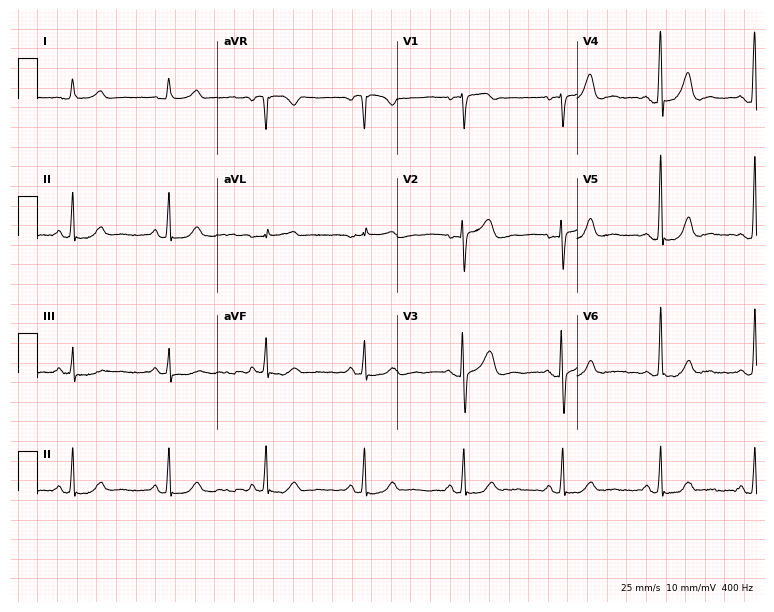
Electrocardiogram (7.3-second recording at 400 Hz), a 56-year-old female patient. Overall reading on record: normal ECG.